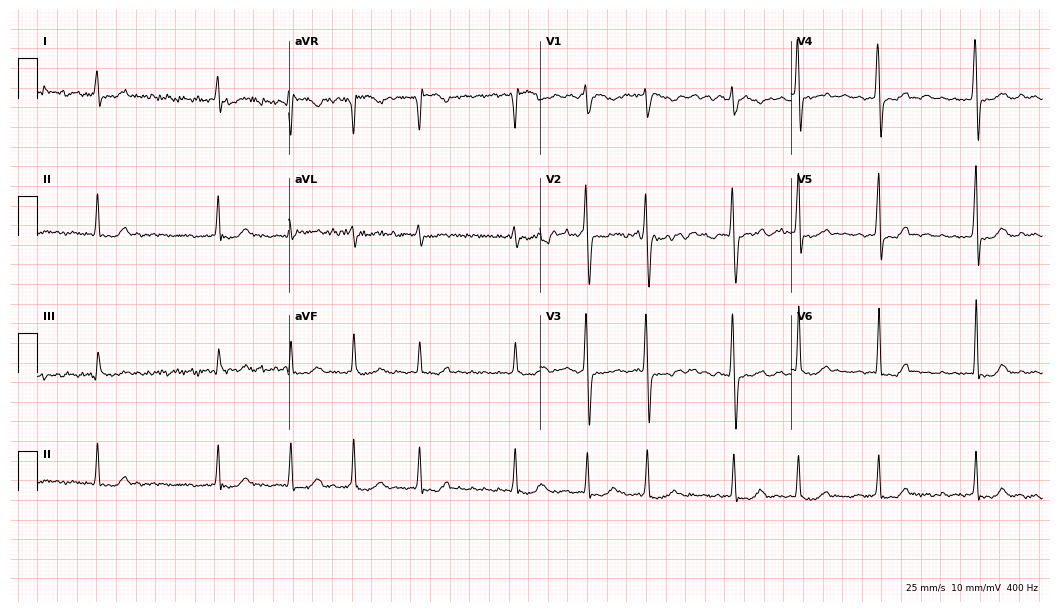
Standard 12-lead ECG recorded from a woman, 42 years old. The tracing shows atrial fibrillation.